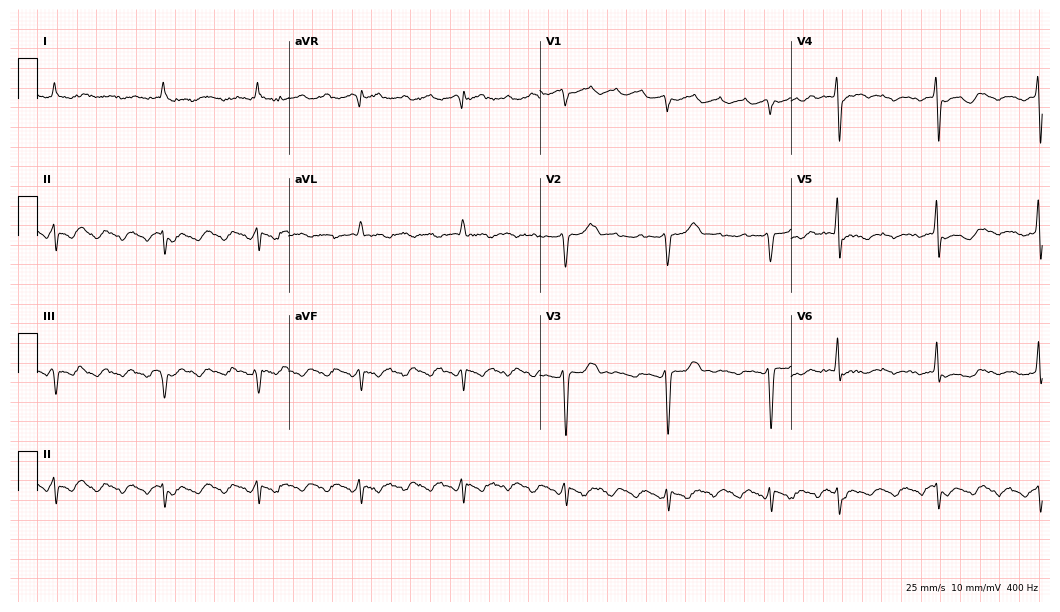
Electrocardiogram (10.2-second recording at 400 Hz), a male, 71 years old. Of the six screened findings (first-degree AV block, right bundle branch block, left bundle branch block, sinus bradycardia, atrial fibrillation, sinus tachycardia), none is recorded.